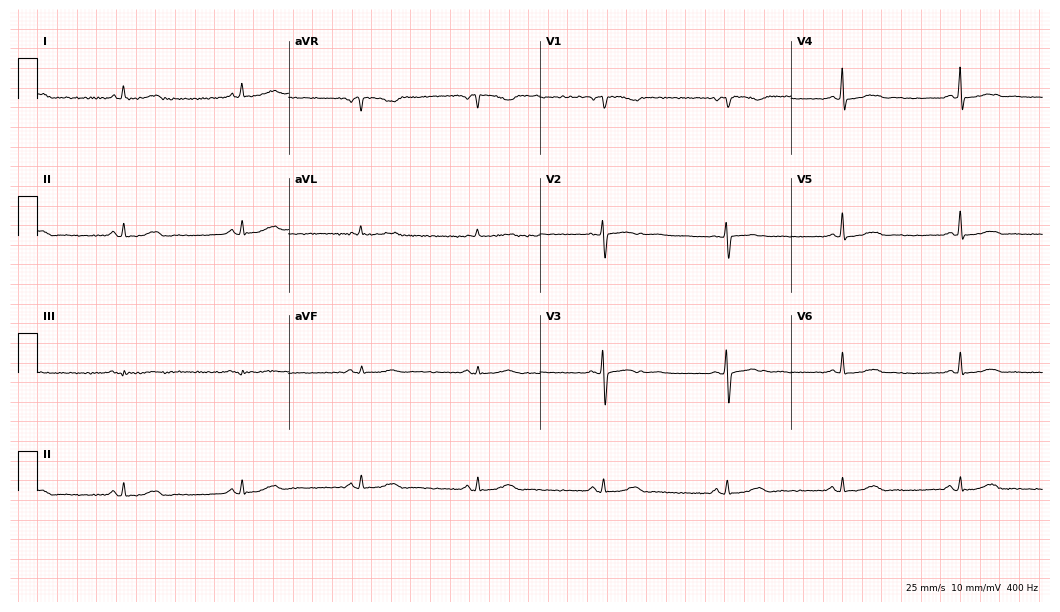
12-lead ECG from a woman, 53 years old. Labelled as a normal ECG.